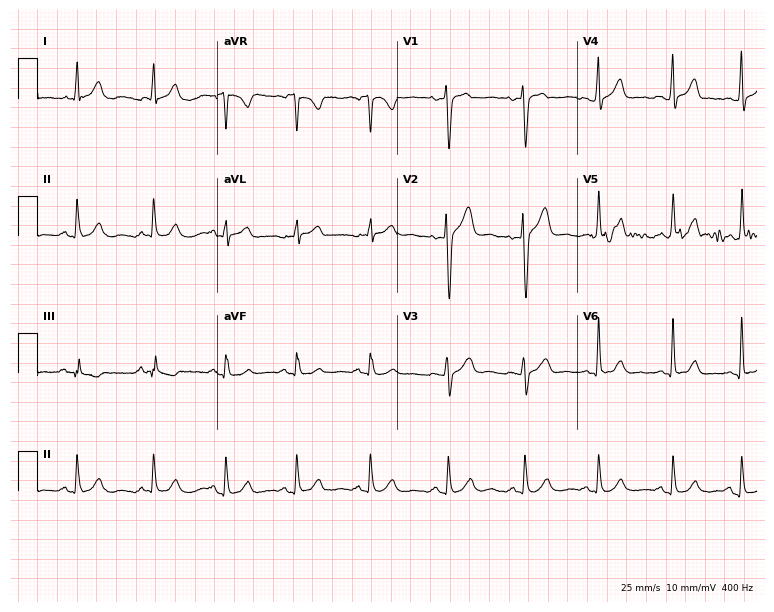
ECG (7.3-second recording at 400 Hz) — a male, 20 years old. Labelled as a normal ECG.